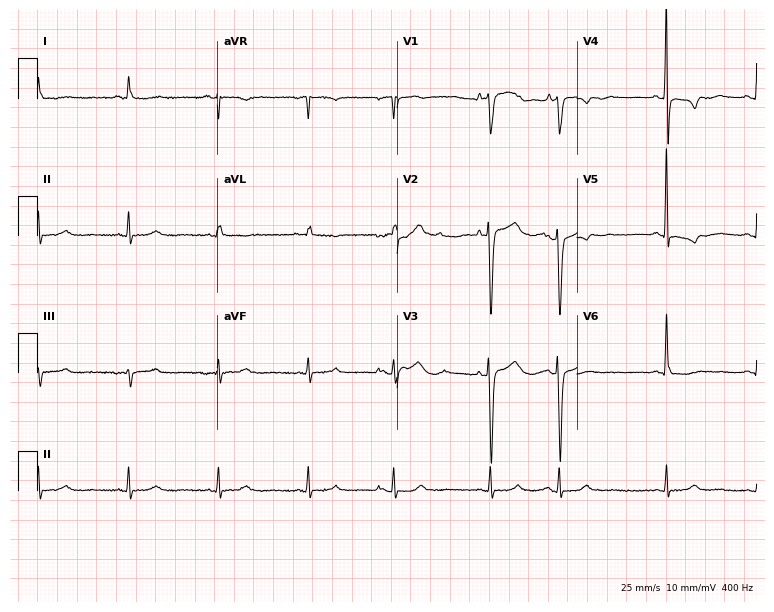
ECG (7.3-second recording at 400 Hz) — an 82-year-old male. Screened for six findings — first-degree AV block, right bundle branch block, left bundle branch block, sinus bradycardia, atrial fibrillation, sinus tachycardia — none is recorded. Other findings, if any, are not listed.